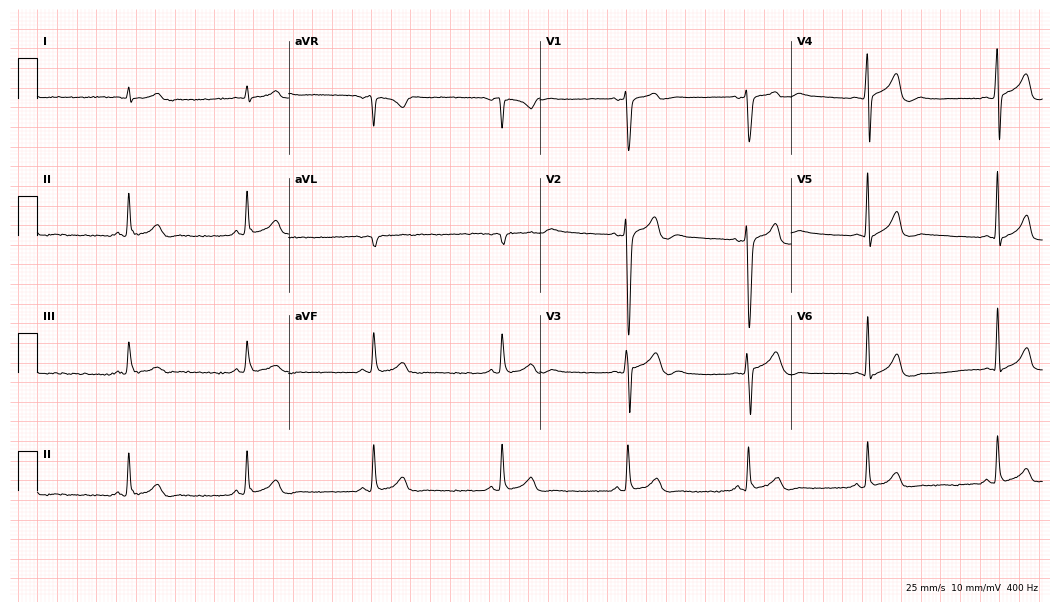
Electrocardiogram (10.2-second recording at 400 Hz), a 36-year-old man. Interpretation includes sinus bradycardia (a sinus rate of 50 beats per minute or less).